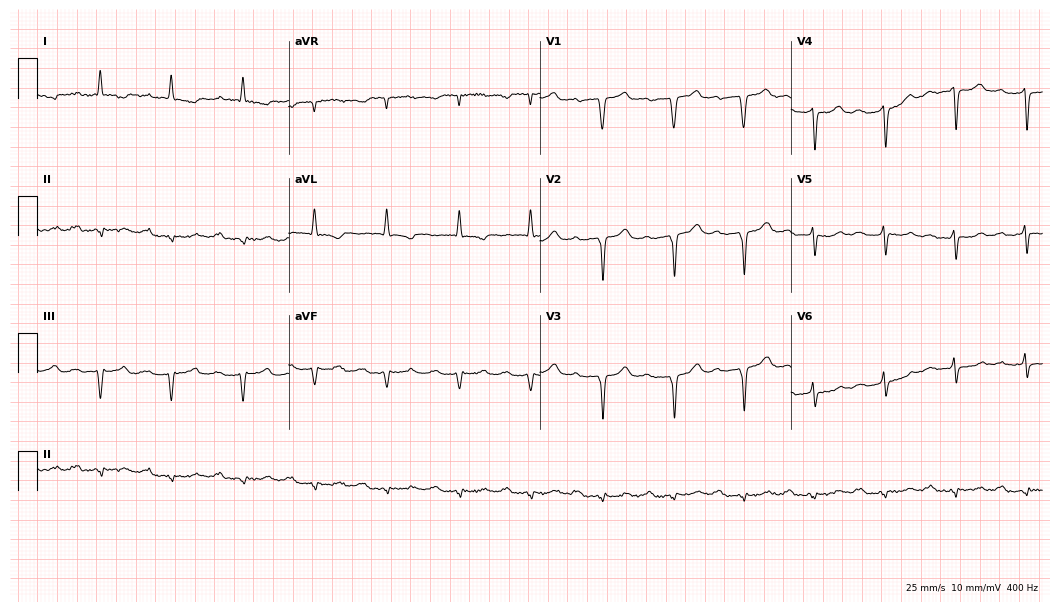
12-lead ECG (10.2-second recording at 400 Hz) from a 68-year-old male patient. Findings include first-degree AV block.